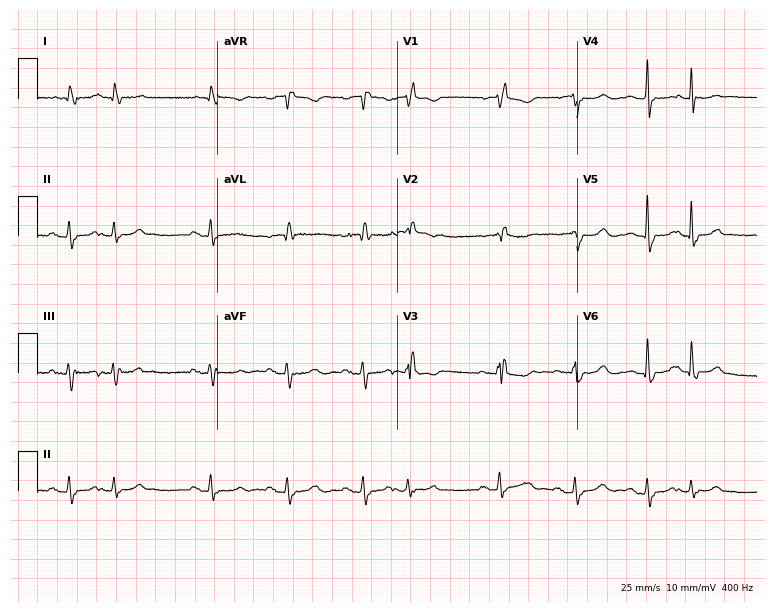
Resting 12-lead electrocardiogram. Patient: an 83-year-old woman. None of these six findings is recorded: first-degree AV block, right bundle branch block, left bundle branch block, sinus bradycardia, atrial fibrillation, sinus tachycardia.